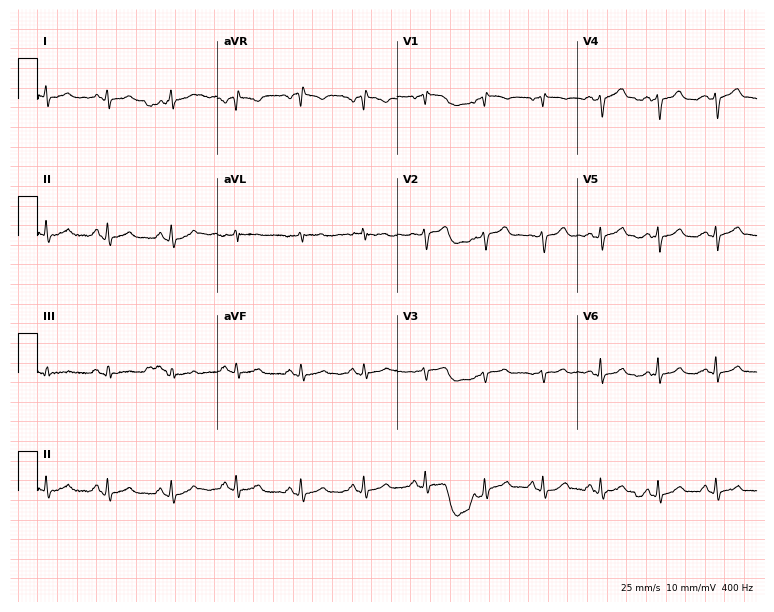
12-lead ECG from a 49-year-old female. No first-degree AV block, right bundle branch block (RBBB), left bundle branch block (LBBB), sinus bradycardia, atrial fibrillation (AF) or sinus tachycardia recorded for this tracing. Only these six findings were labelled.